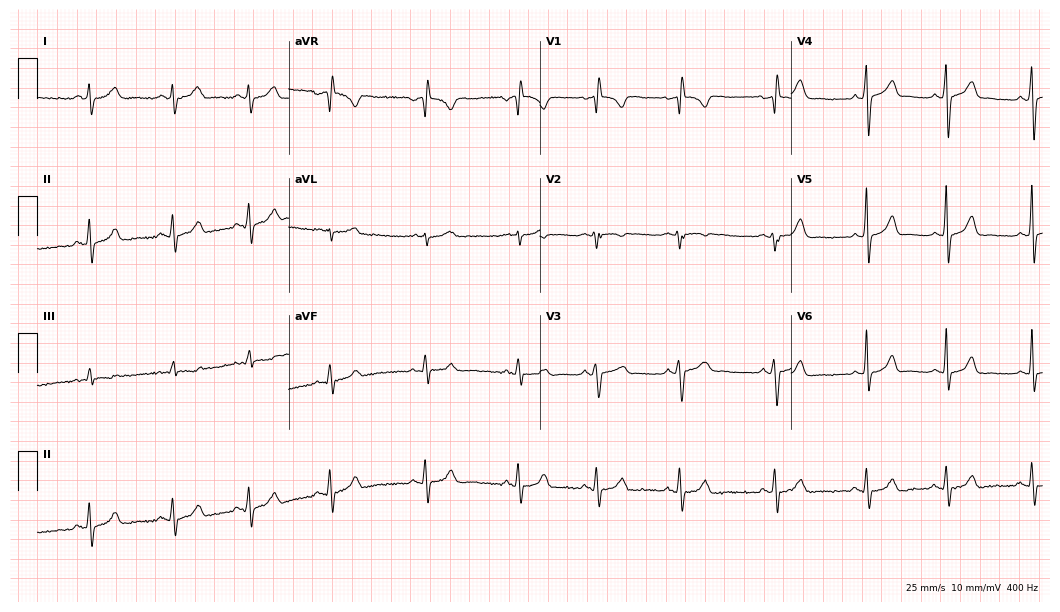
12-lead ECG (10.2-second recording at 400 Hz) from an 18-year-old female. Screened for six findings — first-degree AV block, right bundle branch block, left bundle branch block, sinus bradycardia, atrial fibrillation, sinus tachycardia — none is recorded.